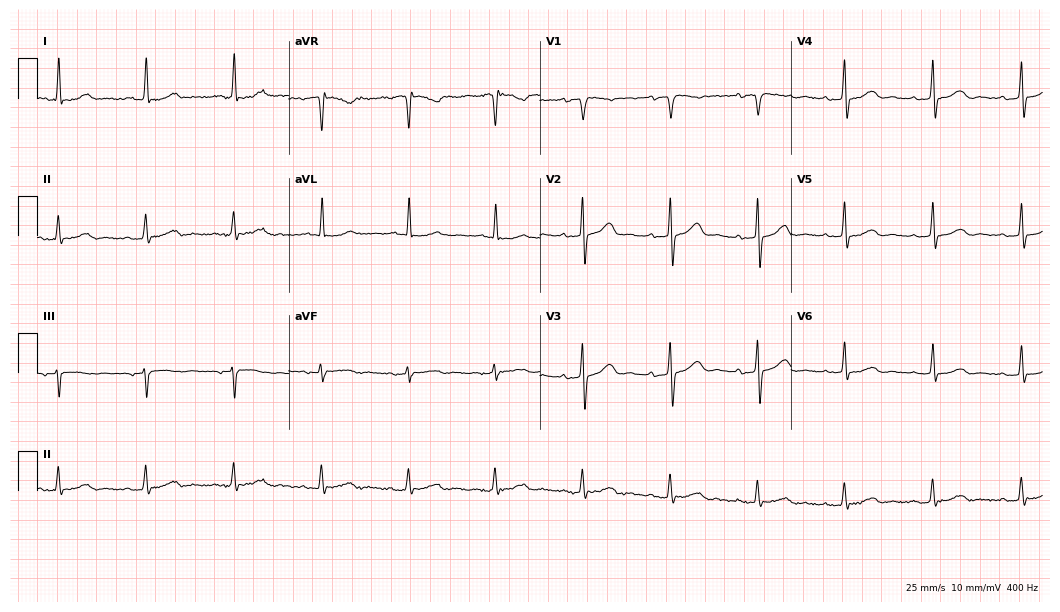
12-lead ECG from a woman, 61 years old. No first-degree AV block, right bundle branch block (RBBB), left bundle branch block (LBBB), sinus bradycardia, atrial fibrillation (AF) or sinus tachycardia recorded for this tracing. Only these six findings were labelled.